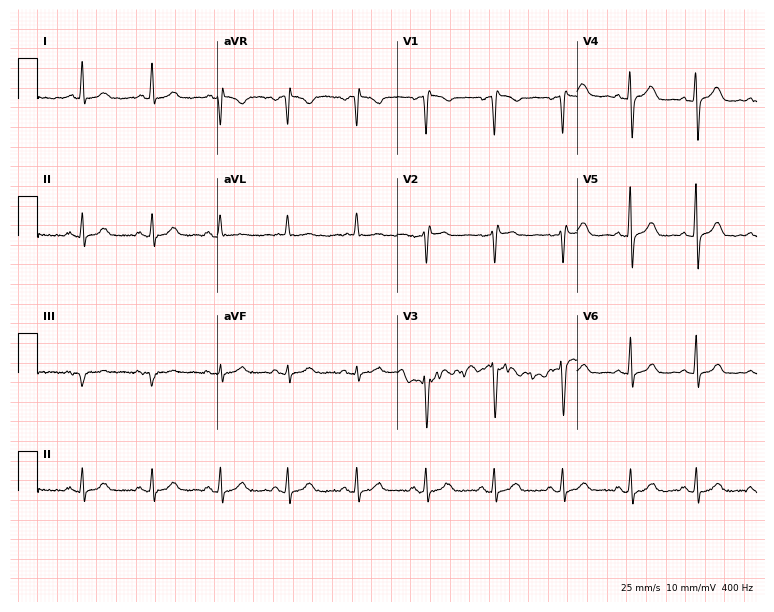
12-lead ECG from a woman, 42 years old. Screened for six findings — first-degree AV block, right bundle branch block, left bundle branch block, sinus bradycardia, atrial fibrillation, sinus tachycardia — none is recorded. Findings outside these six are not listed.